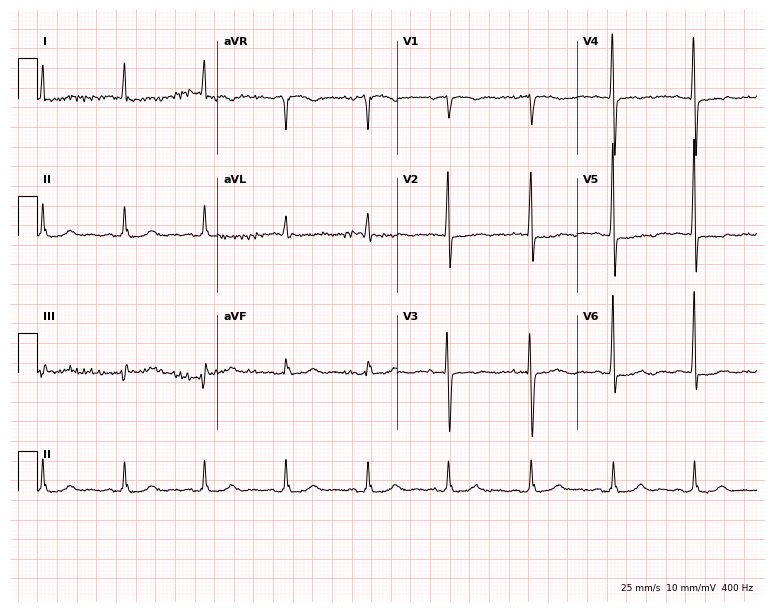
12-lead ECG from a woman, 77 years old. No first-degree AV block, right bundle branch block (RBBB), left bundle branch block (LBBB), sinus bradycardia, atrial fibrillation (AF) or sinus tachycardia recorded for this tracing. Findings outside these six are not listed.